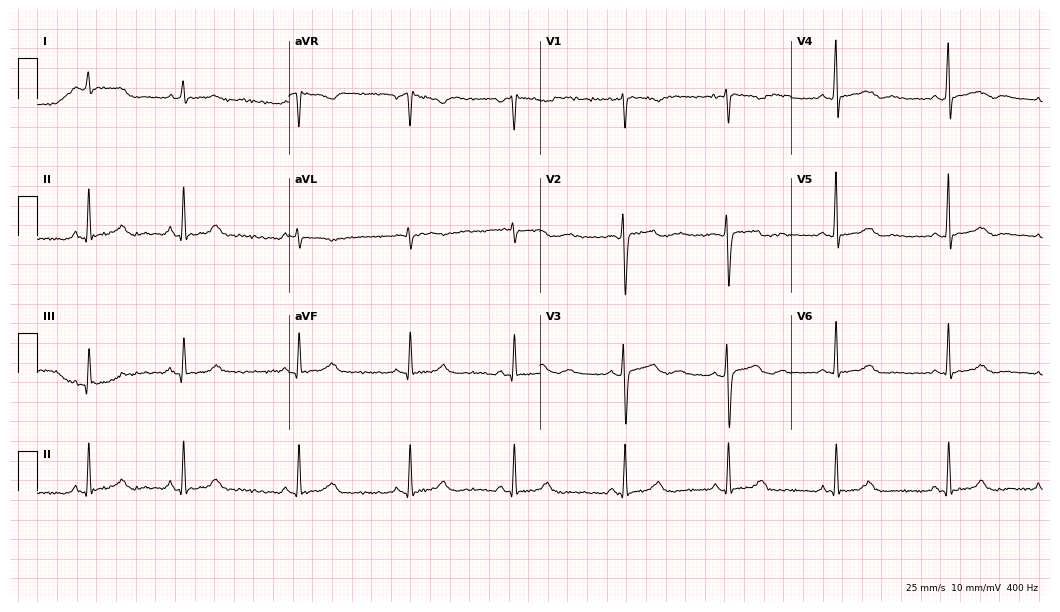
Resting 12-lead electrocardiogram. Patient: a female, 27 years old. Read as a normal ECG.